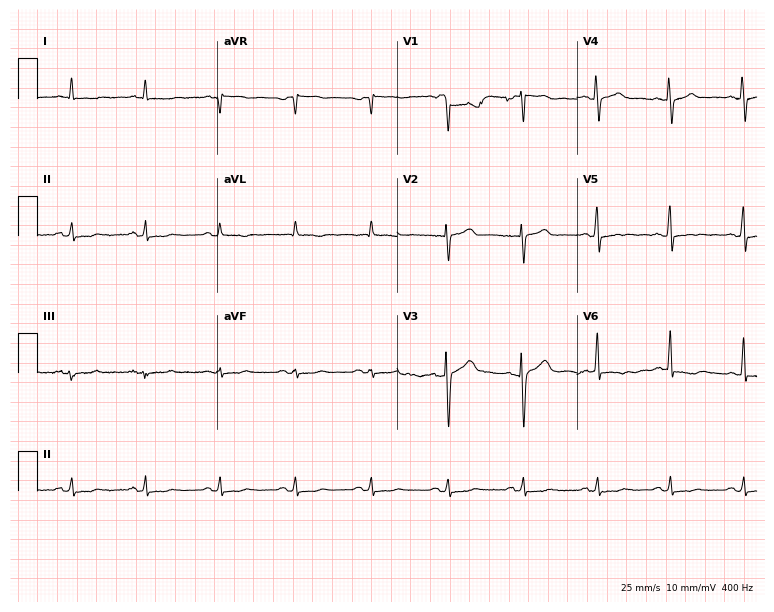
Resting 12-lead electrocardiogram. Patient: a woman, 54 years old. None of these six findings is recorded: first-degree AV block, right bundle branch block, left bundle branch block, sinus bradycardia, atrial fibrillation, sinus tachycardia. Other findings, if any, are not listed.